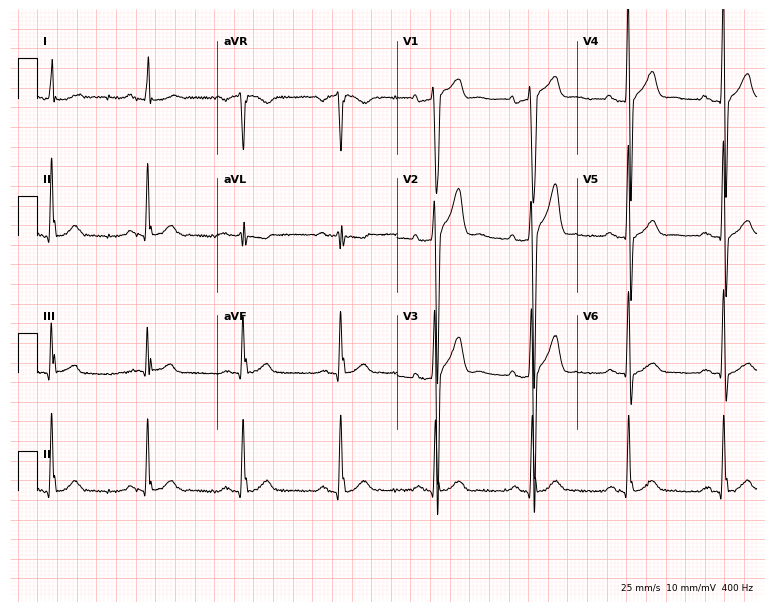
ECG (7.3-second recording at 400 Hz) — a 49-year-old male. Screened for six findings — first-degree AV block, right bundle branch block (RBBB), left bundle branch block (LBBB), sinus bradycardia, atrial fibrillation (AF), sinus tachycardia — none is recorded. Only these six findings were labelled.